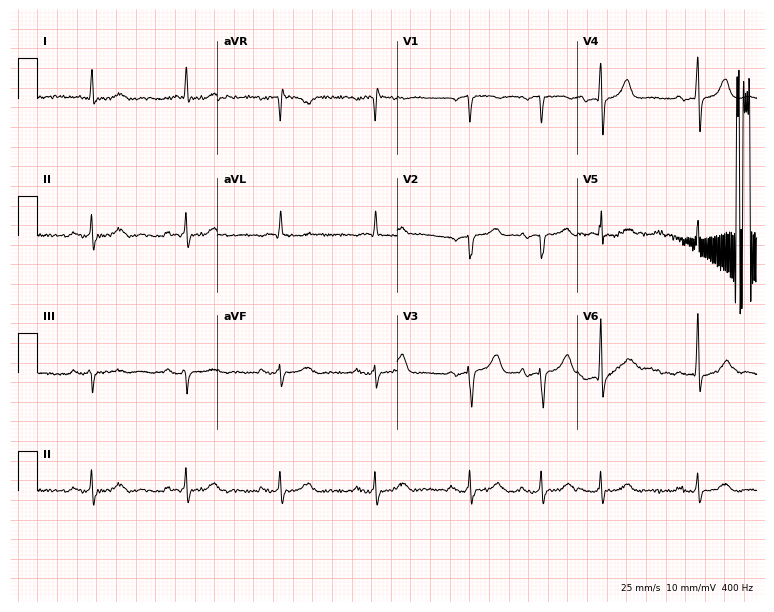
Resting 12-lead electrocardiogram. Patient: an 80-year-old man. Read as a normal ECG.